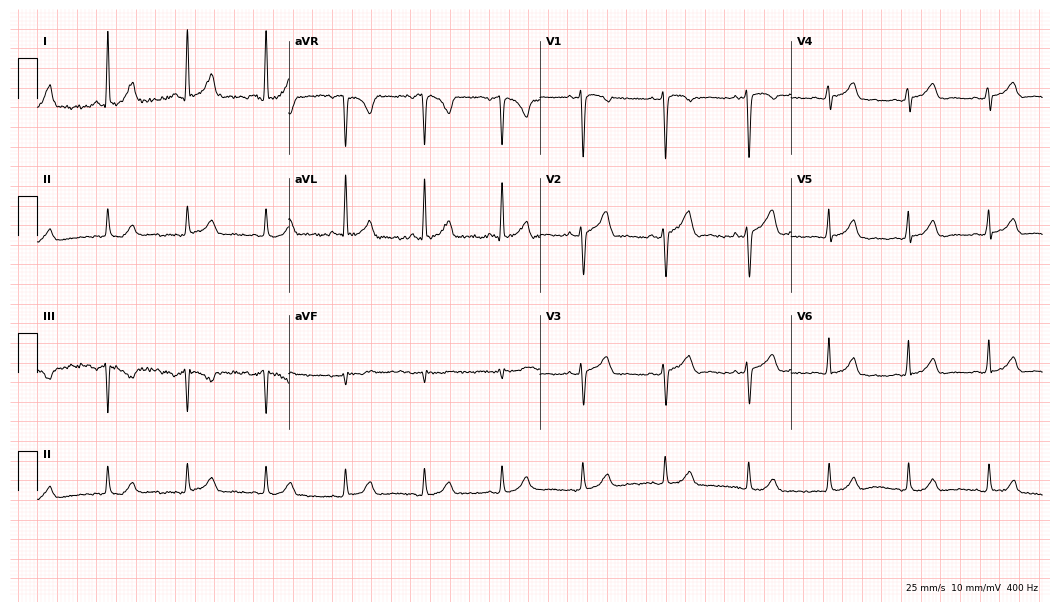
Resting 12-lead electrocardiogram. Patient: a 35-year-old female. Read as a normal ECG.